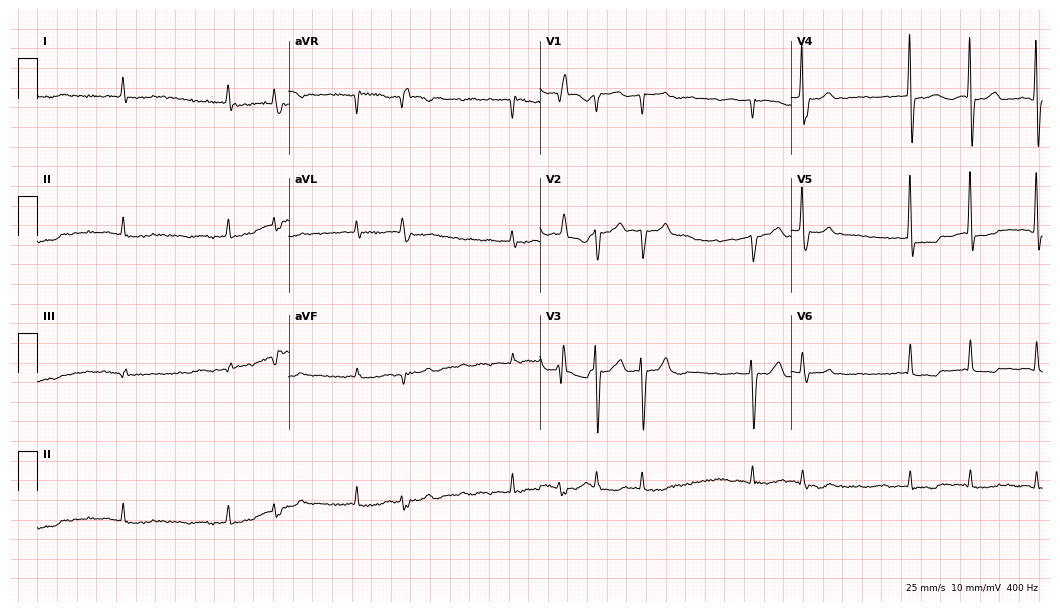
Resting 12-lead electrocardiogram. Patient: a male, 85 years old. The tracing shows atrial fibrillation.